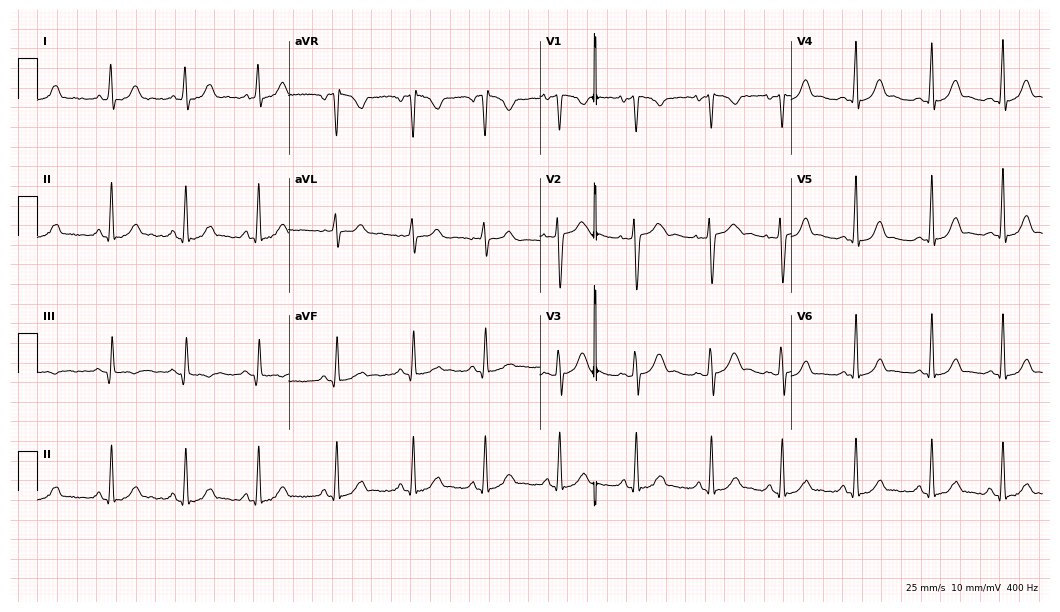
ECG — a female patient, 27 years old. Labelled as a normal ECG.